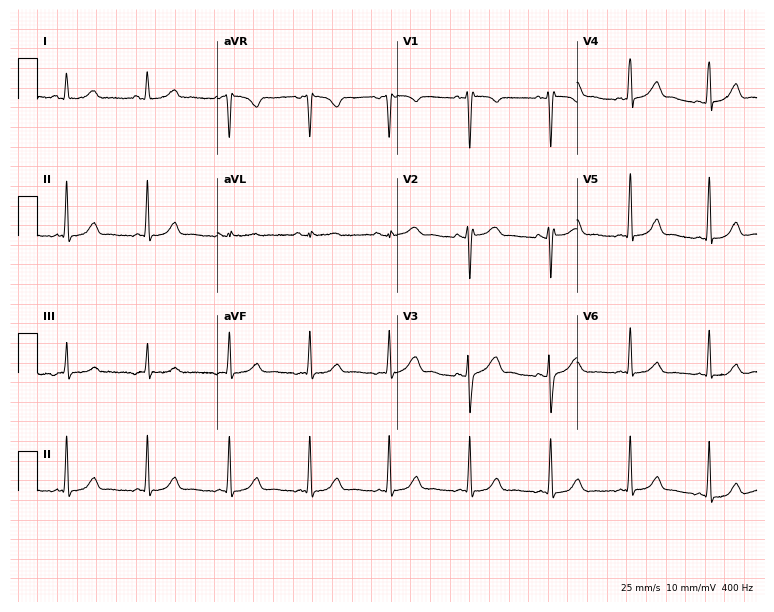
12-lead ECG (7.3-second recording at 400 Hz) from a 36-year-old female. Labelled as a normal ECG.